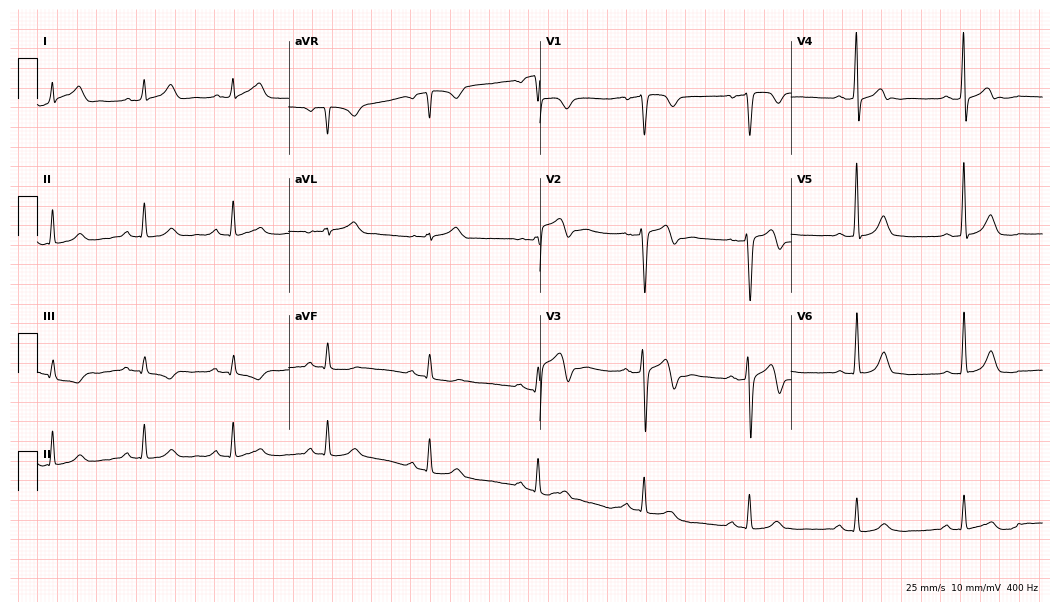
Electrocardiogram, a 41-year-old male patient. Overall reading on record: normal ECG.